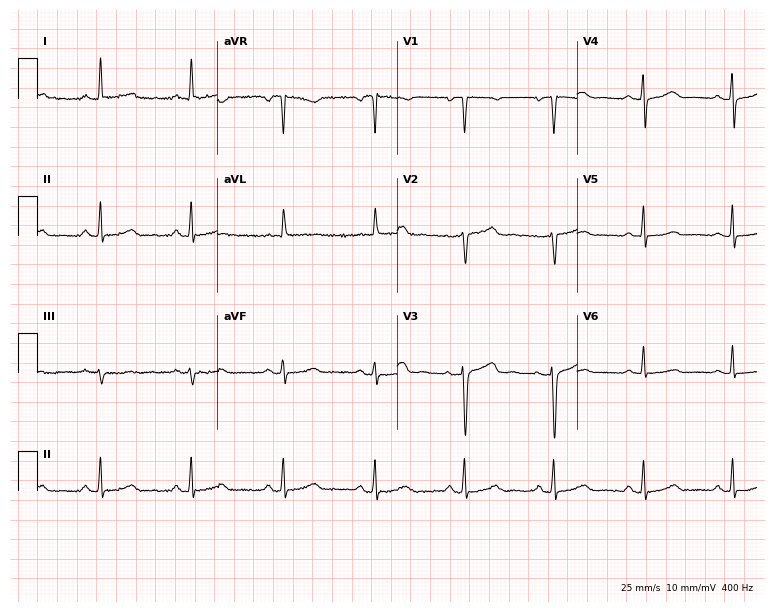
Resting 12-lead electrocardiogram. Patient: a female, 53 years old. None of these six findings is recorded: first-degree AV block, right bundle branch block, left bundle branch block, sinus bradycardia, atrial fibrillation, sinus tachycardia. Other findings, if any, are not listed.